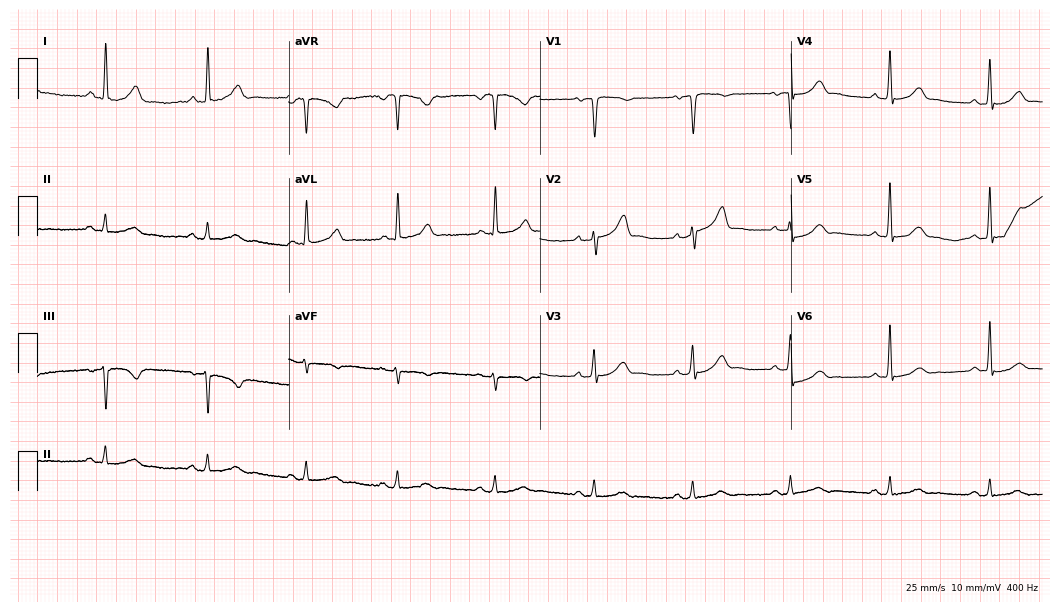
12-lead ECG (10.2-second recording at 400 Hz) from a male patient, 46 years old. Screened for six findings — first-degree AV block, right bundle branch block, left bundle branch block, sinus bradycardia, atrial fibrillation, sinus tachycardia — none is recorded.